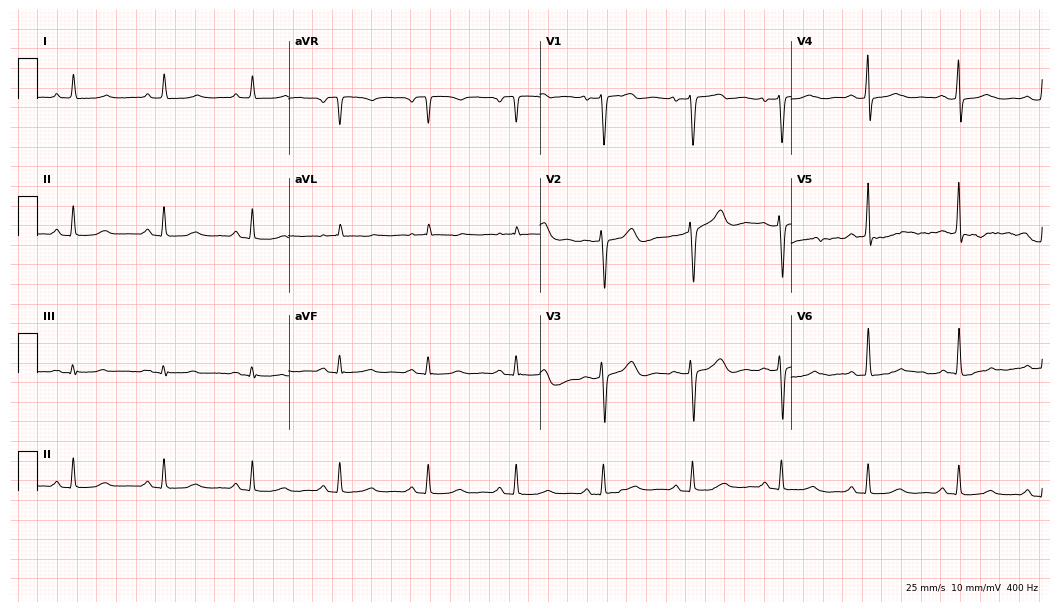
ECG — a 47-year-old female. Screened for six findings — first-degree AV block, right bundle branch block, left bundle branch block, sinus bradycardia, atrial fibrillation, sinus tachycardia — none is recorded.